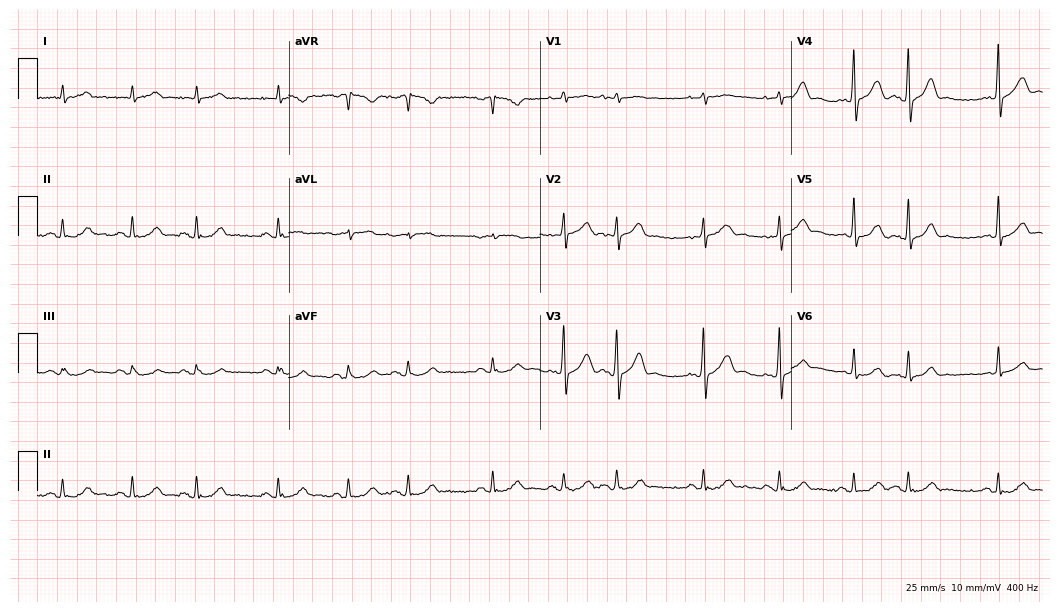
ECG — a male patient, 73 years old. Screened for six findings — first-degree AV block, right bundle branch block, left bundle branch block, sinus bradycardia, atrial fibrillation, sinus tachycardia — none is recorded. Only these six findings were labelled.